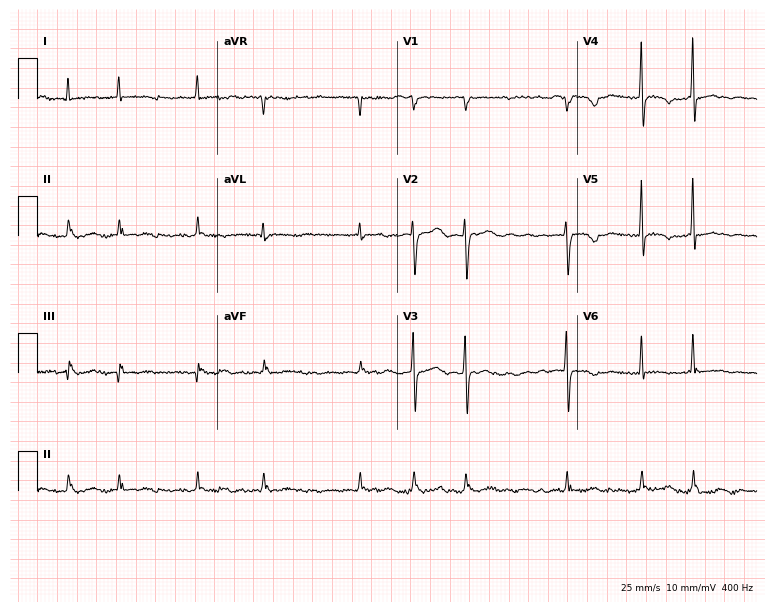
Electrocardiogram, a female patient, 75 years old. Interpretation includes atrial fibrillation.